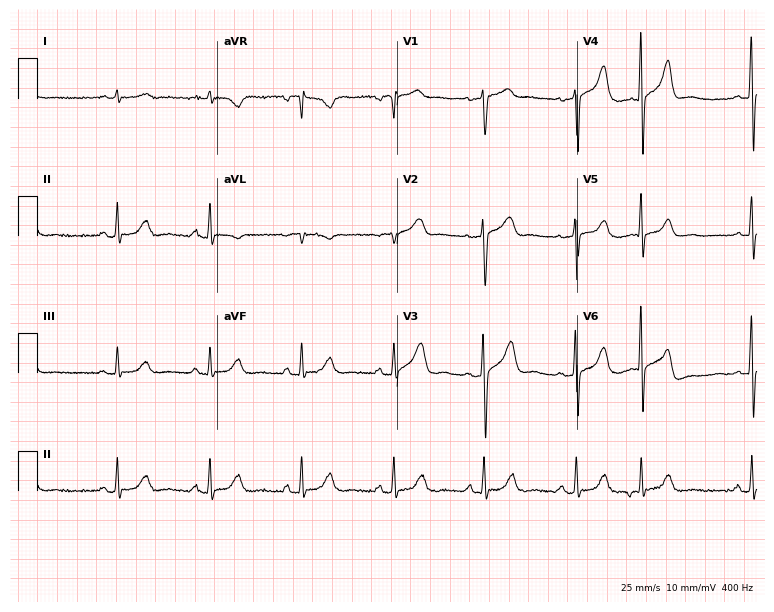
Electrocardiogram (7.3-second recording at 400 Hz), a 75-year-old man. Overall reading on record: normal ECG.